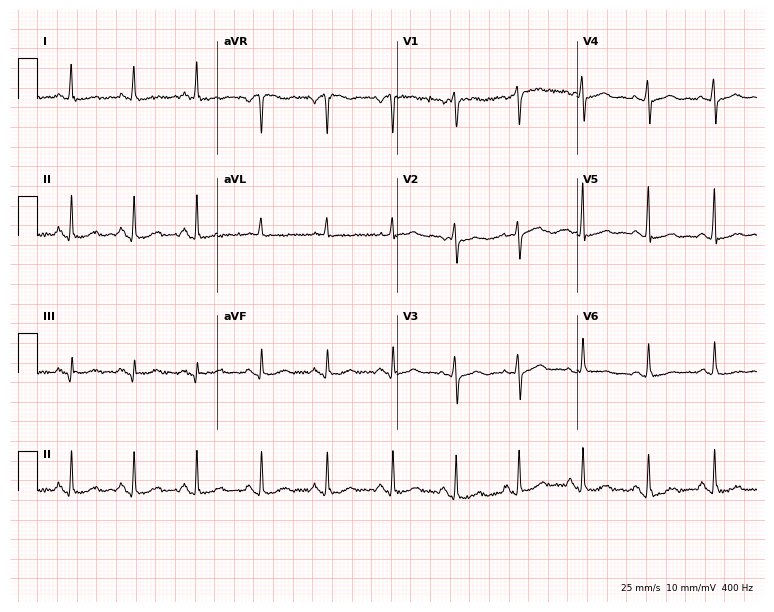
12-lead ECG from a 54-year-old female. Recorded interpretation: within normal limits.